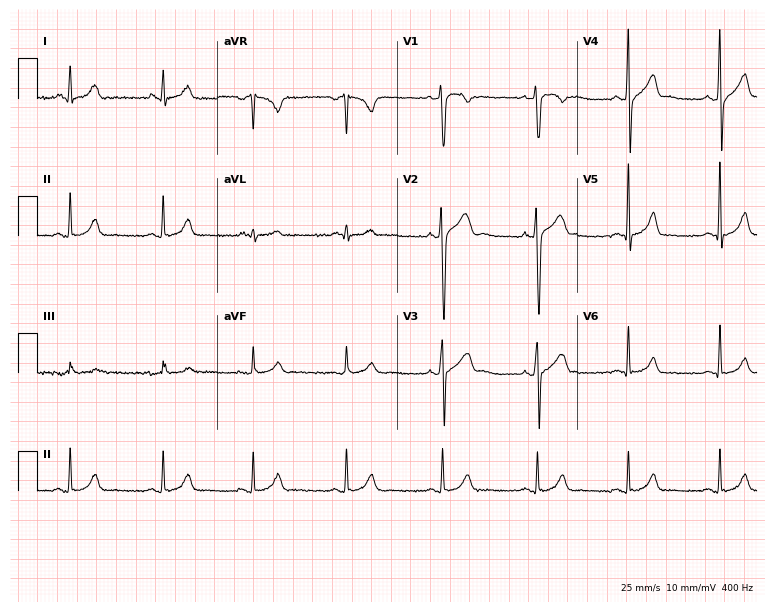
Electrocardiogram (7.3-second recording at 400 Hz), a 29-year-old male. Of the six screened findings (first-degree AV block, right bundle branch block (RBBB), left bundle branch block (LBBB), sinus bradycardia, atrial fibrillation (AF), sinus tachycardia), none is recorded.